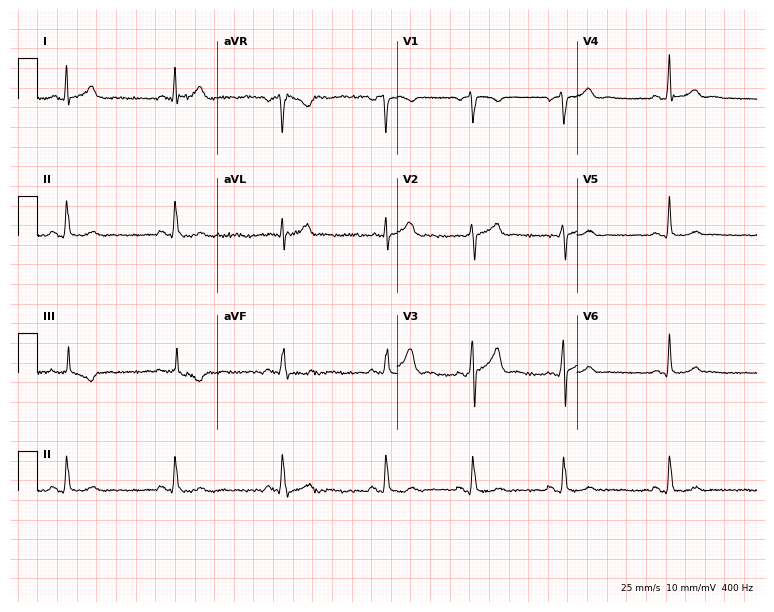
Electrocardiogram (7.3-second recording at 400 Hz), a male patient, 50 years old. Overall reading on record: normal ECG.